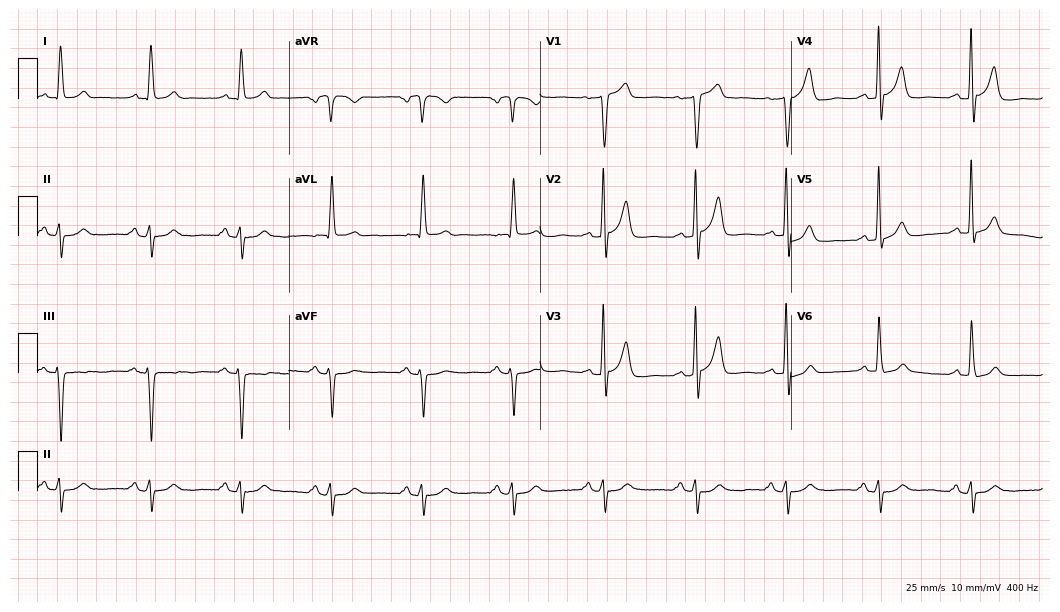
ECG (10.2-second recording at 400 Hz) — a male, 71 years old. Screened for six findings — first-degree AV block, right bundle branch block (RBBB), left bundle branch block (LBBB), sinus bradycardia, atrial fibrillation (AF), sinus tachycardia — none is recorded.